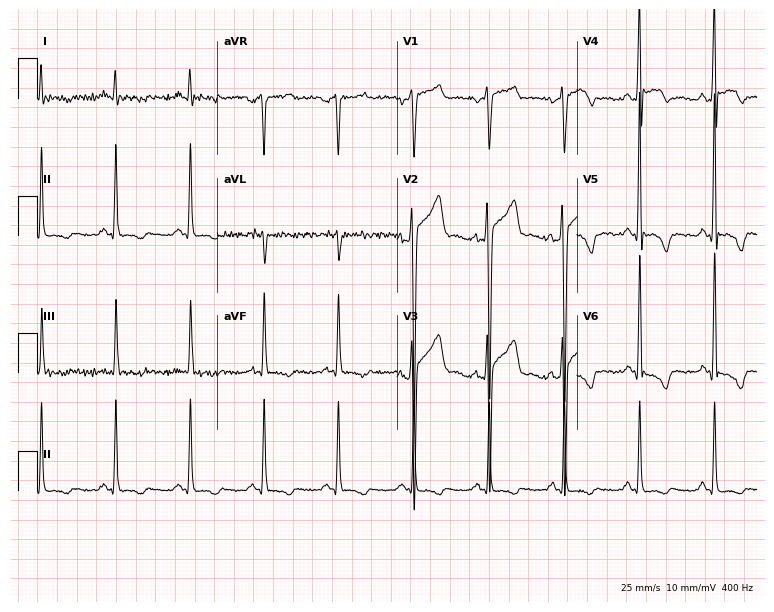
ECG — a 37-year-old male patient. Screened for six findings — first-degree AV block, right bundle branch block, left bundle branch block, sinus bradycardia, atrial fibrillation, sinus tachycardia — none is recorded. Other findings, if any, are not listed.